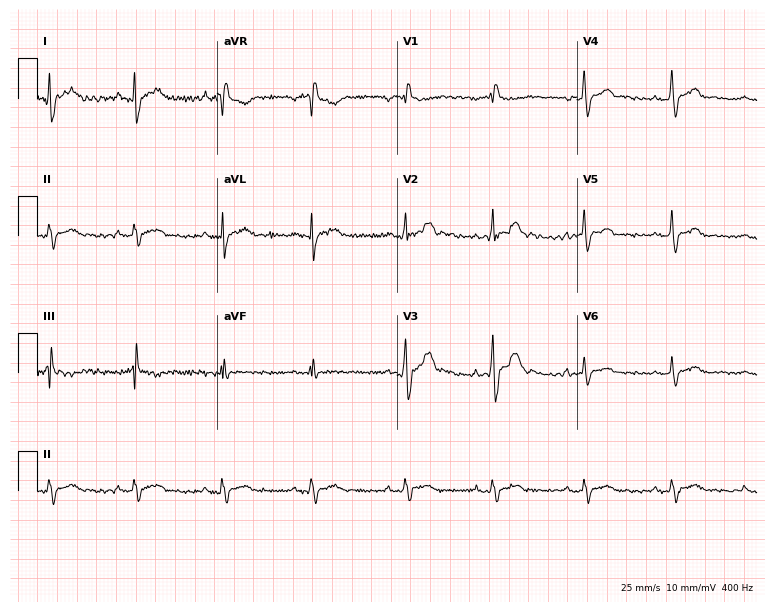
12-lead ECG from a man, 29 years old. No first-degree AV block, right bundle branch block, left bundle branch block, sinus bradycardia, atrial fibrillation or sinus tachycardia recorded for this tracing. Only these six findings were labelled.